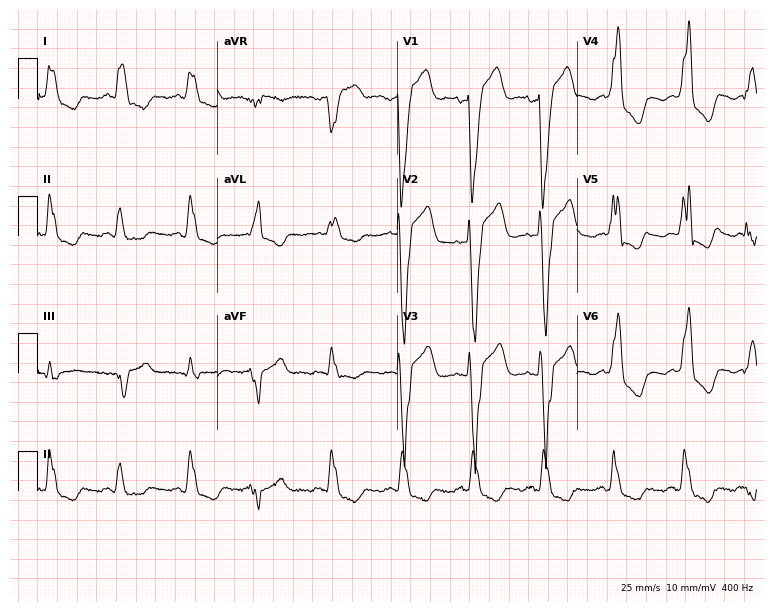
Resting 12-lead electrocardiogram (7.3-second recording at 400 Hz). Patient: a woman, 70 years old. The tracing shows left bundle branch block.